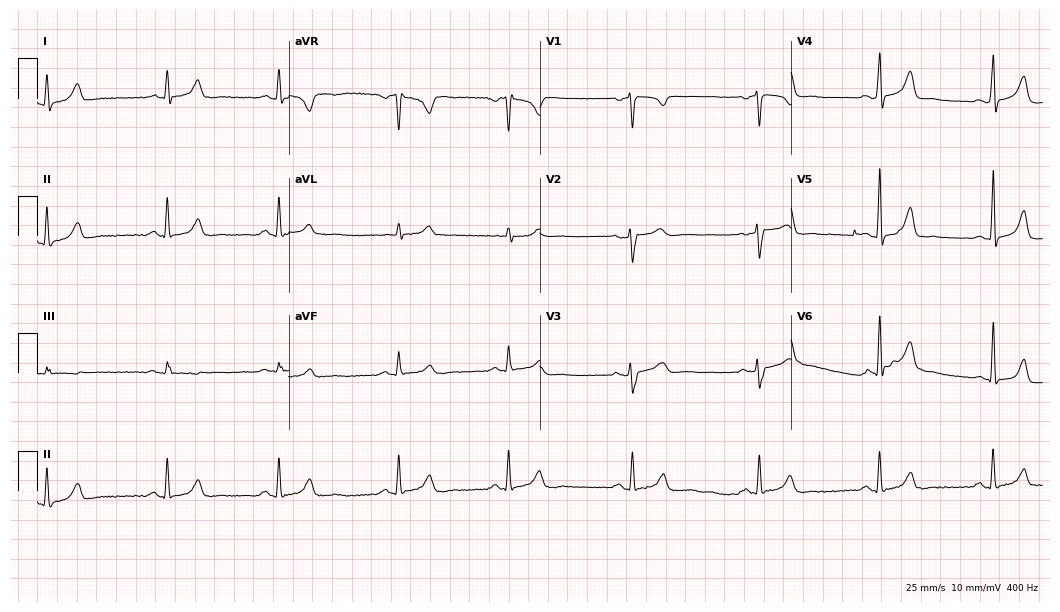
Resting 12-lead electrocardiogram. Patient: a female, 48 years old. None of these six findings is recorded: first-degree AV block, right bundle branch block, left bundle branch block, sinus bradycardia, atrial fibrillation, sinus tachycardia.